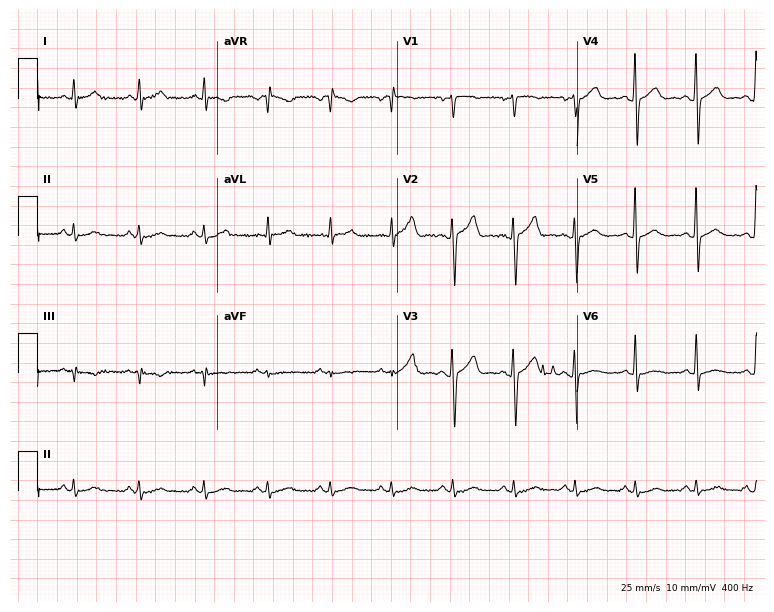
Electrocardiogram (7.3-second recording at 400 Hz), a 43-year-old male. Overall reading on record: normal ECG.